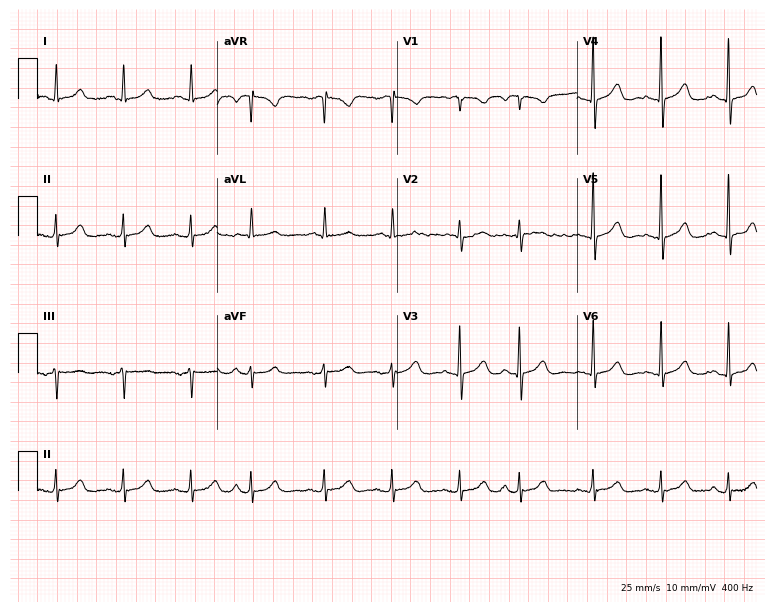
Electrocardiogram, a female patient, 84 years old. Of the six screened findings (first-degree AV block, right bundle branch block, left bundle branch block, sinus bradycardia, atrial fibrillation, sinus tachycardia), none is recorded. Findings outside these six are not listed.